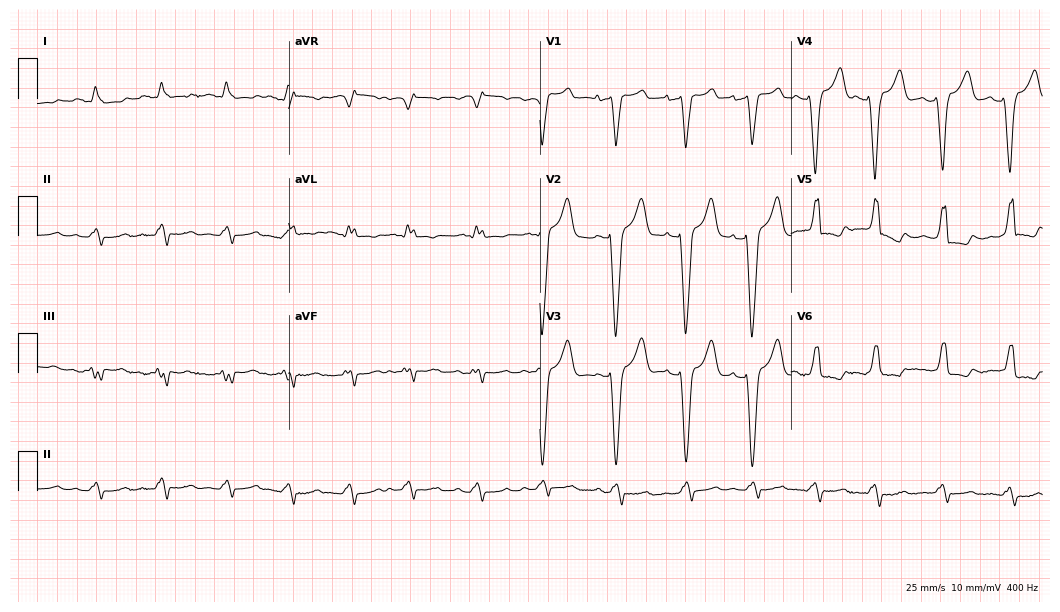
Electrocardiogram (10.2-second recording at 400 Hz), a female, 79 years old. Interpretation includes left bundle branch block.